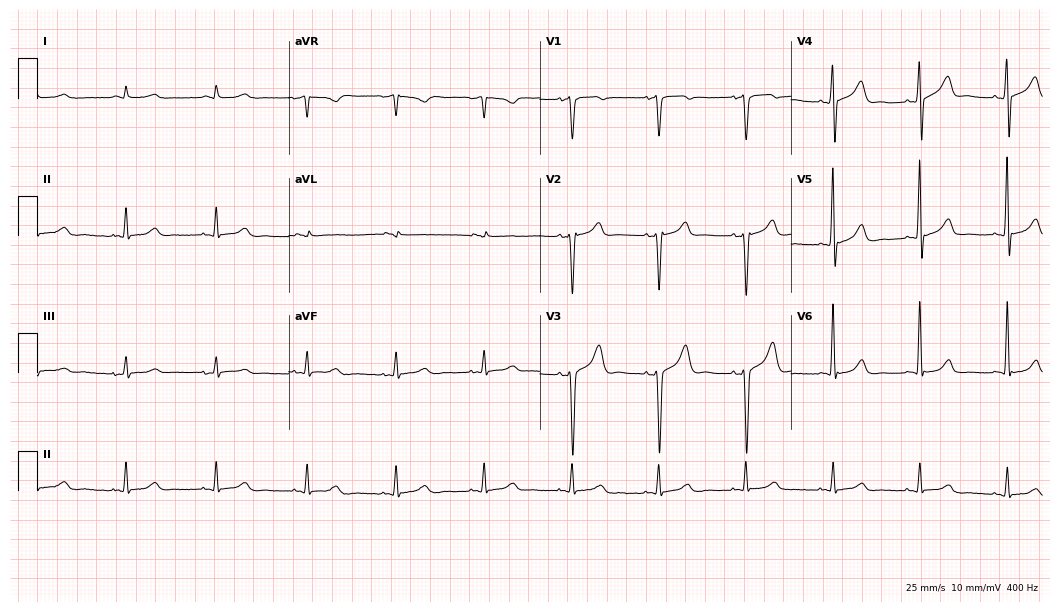
Resting 12-lead electrocardiogram (10.2-second recording at 400 Hz). Patient: a 58-year-old man. None of these six findings is recorded: first-degree AV block, right bundle branch block, left bundle branch block, sinus bradycardia, atrial fibrillation, sinus tachycardia.